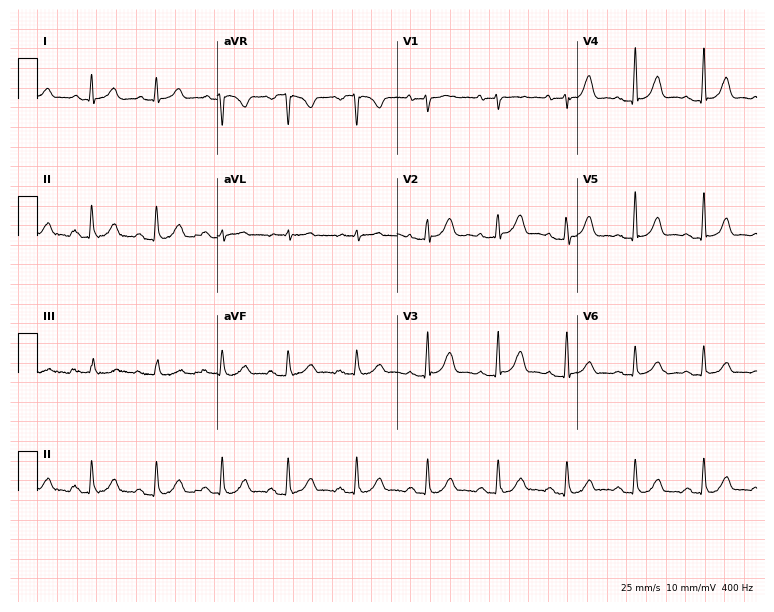
Electrocardiogram, a female patient, 56 years old. Overall reading on record: normal ECG.